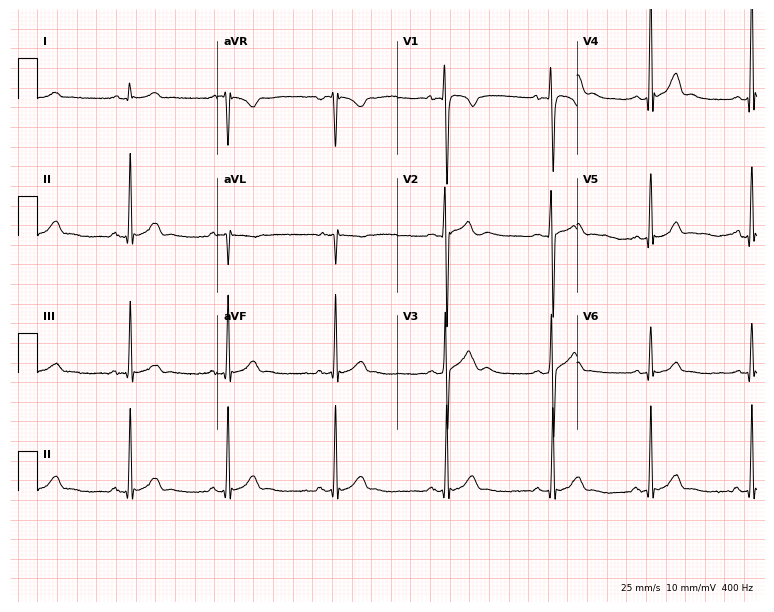
ECG — a 21-year-old man. Labelled as a normal ECG.